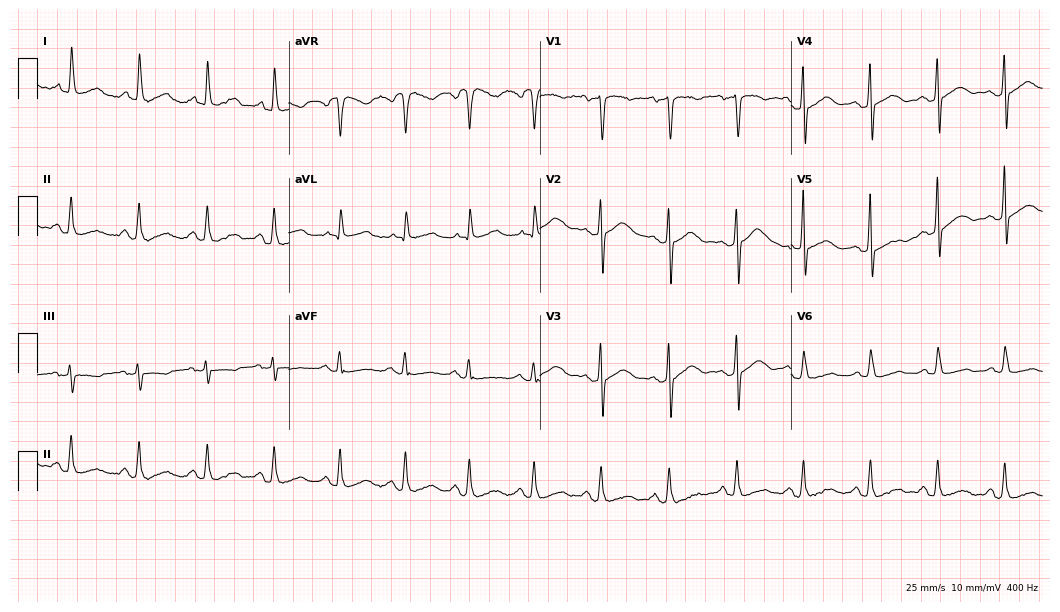
Resting 12-lead electrocardiogram. Patient: a 50-year-old male. Read as a normal ECG.